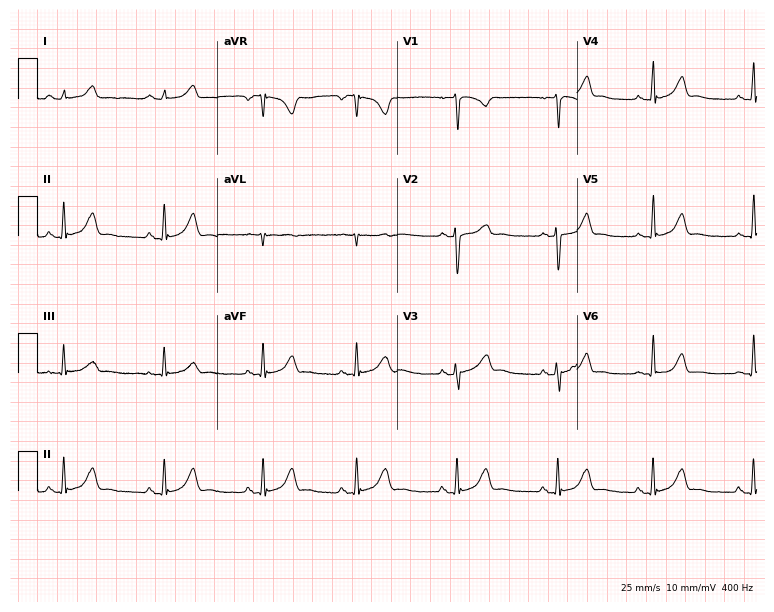
Electrocardiogram (7.3-second recording at 400 Hz), a female patient, 25 years old. Of the six screened findings (first-degree AV block, right bundle branch block (RBBB), left bundle branch block (LBBB), sinus bradycardia, atrial fibrillation (AF), sinus tachycardia), none is recorded.